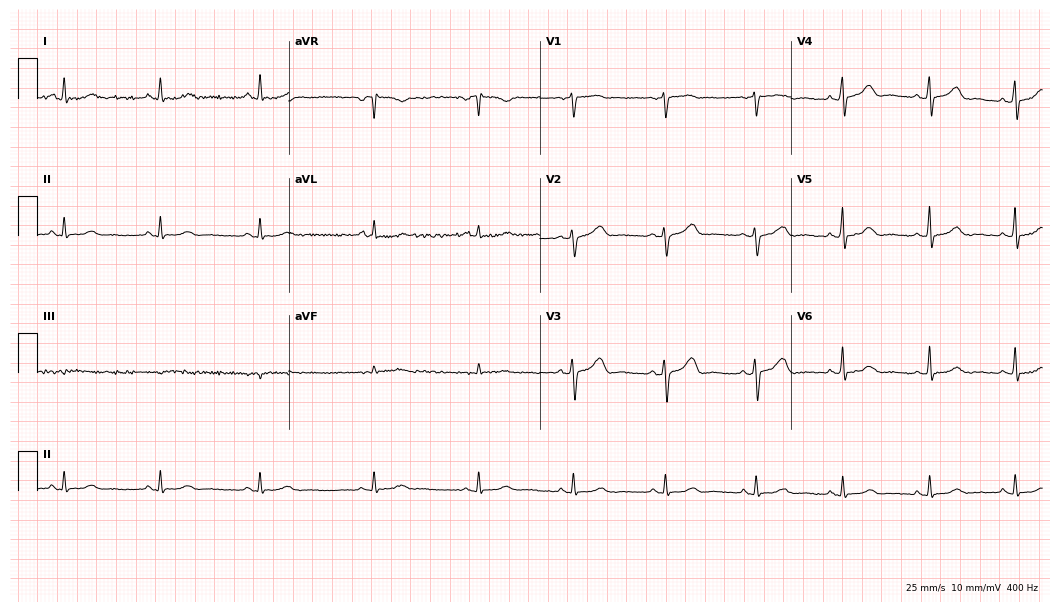
Resting 12-lead electrocardiogram (10.2-second recording at 400 Hz). Patient: a female, 53 years old. Read as a normal ECG.